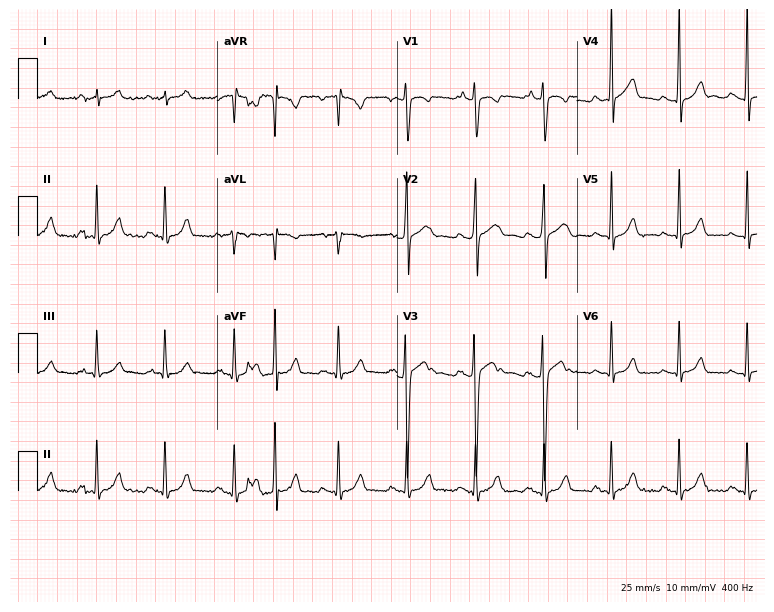
12-lead ECG from a 17-year-old man. Labelled as a normal ECG.